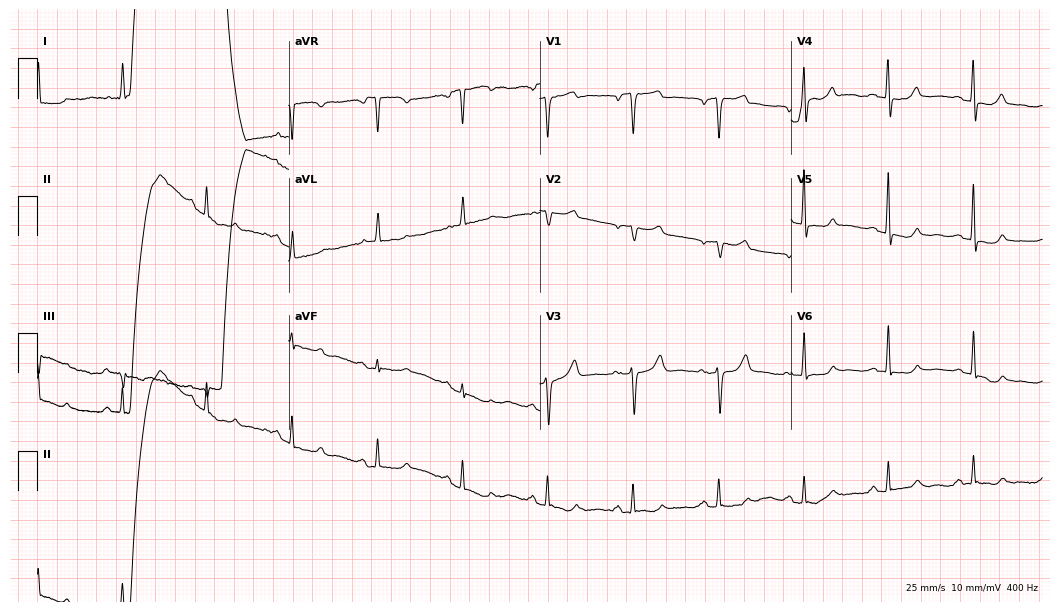
Resting 12-lead electrocardiogram. Patient: a 73-year-old female. None of these six findings is recorded: first-degree AV block, right bundle branch block, left bundle branch block, sinus bradycardia, atrial fibrillation, sinus tachycardia. Only these six findings were labelled.